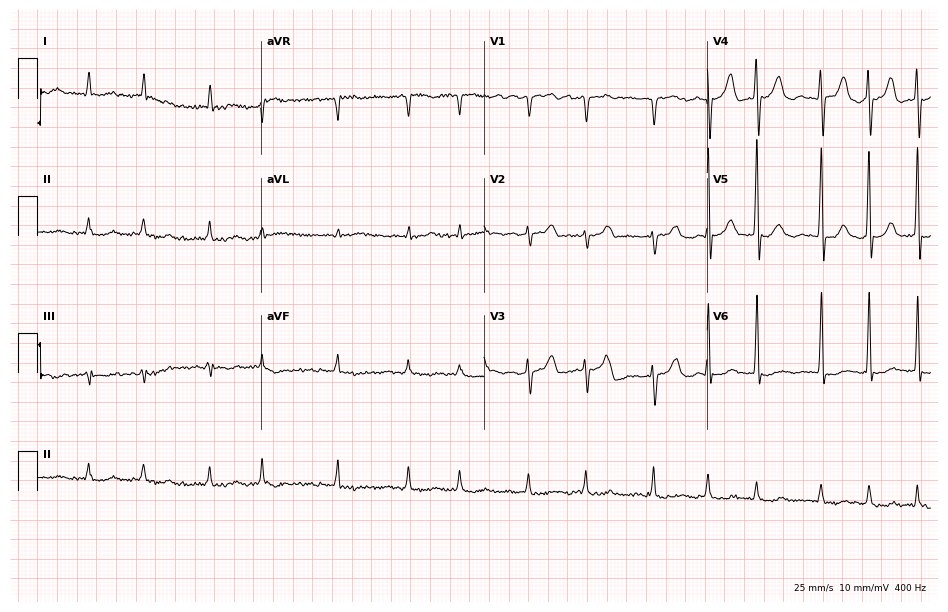
Resting 12-lead electrocardiogram. Patient: a man, 88 years old. The tracing shows atrial fibrillation.